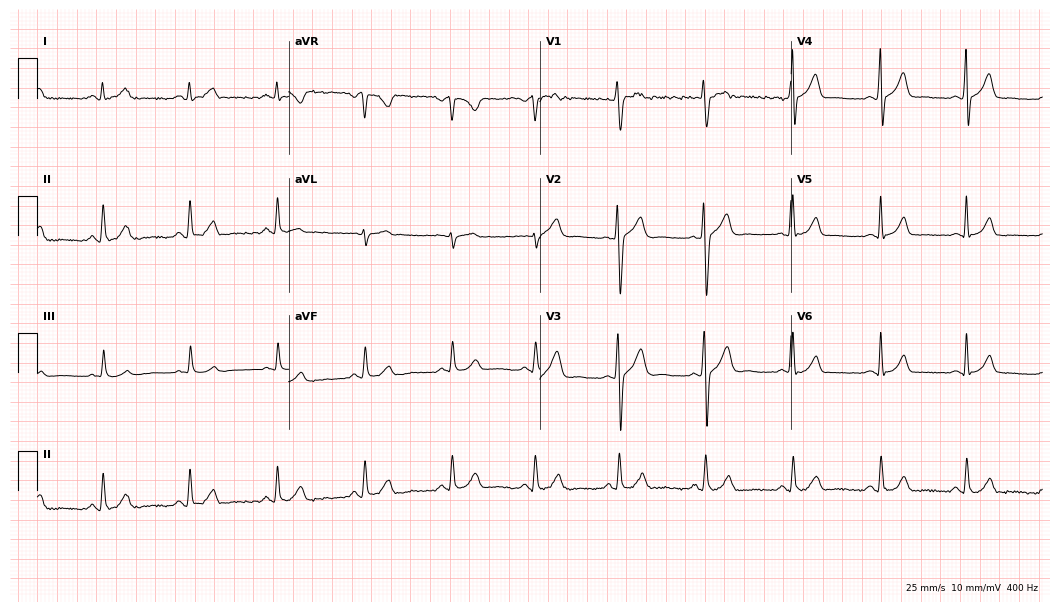
Standard 12-lead ECG recorded from a 24-year-old male patient (10.2-second recording at 400 Hz). None of these six findings is recorded: first-degree AV block, right bundle branch block, left bundle branch block, sinus bradycardia, atrial fibrillation, sinus tachycardia.